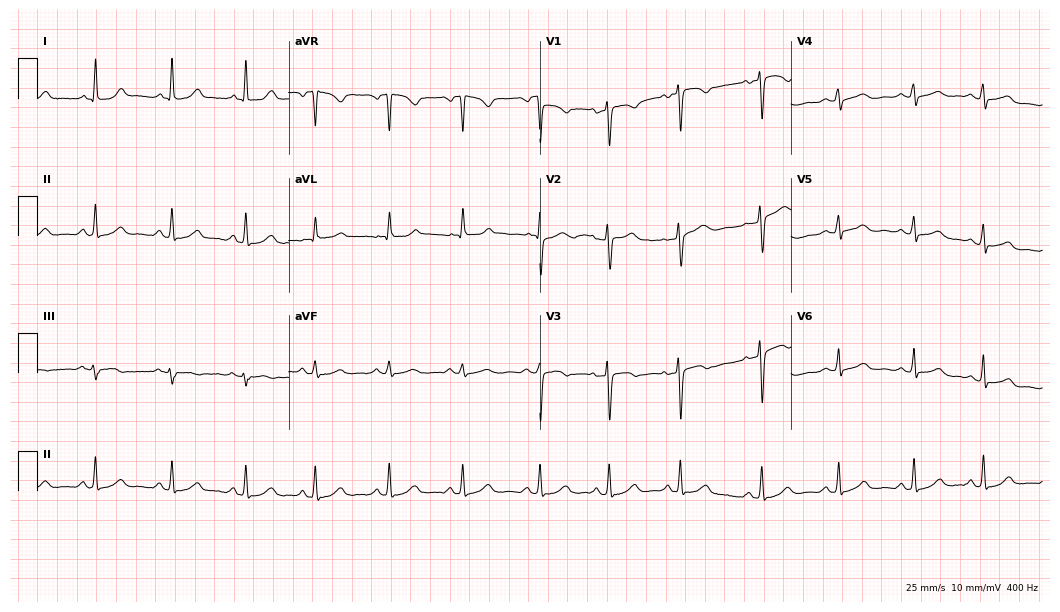
Electrocardiogram, a female patient, 35 years old. Overall reading on record: normal ECG.